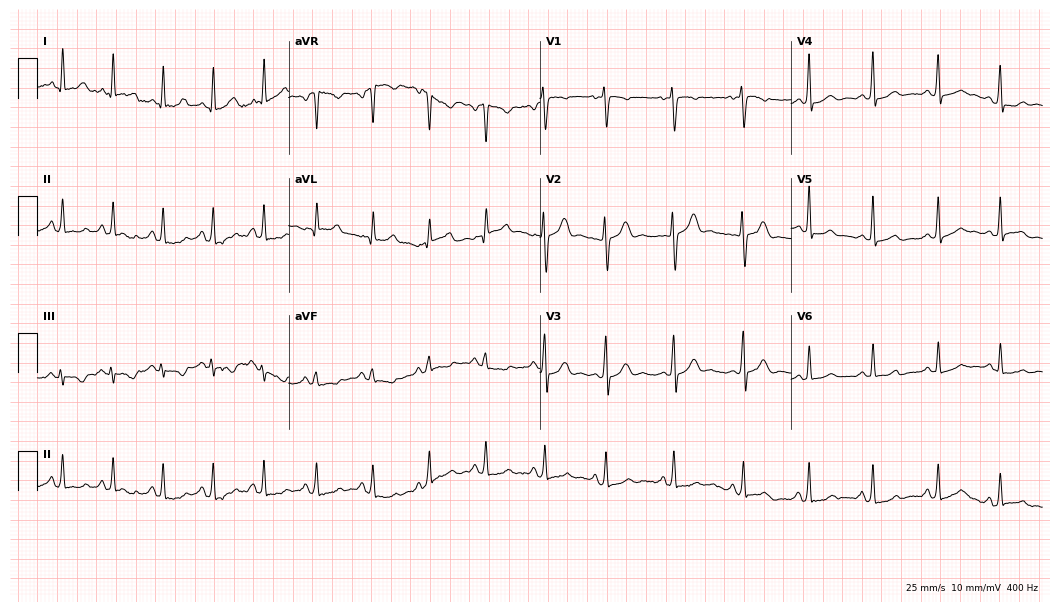
Electrocardiogram (10.2-second recording at 400 Hz), a 27-year-old woman. Interpretation includes sinus tachycardia (a sinus rate of 100 beats per minute or more).